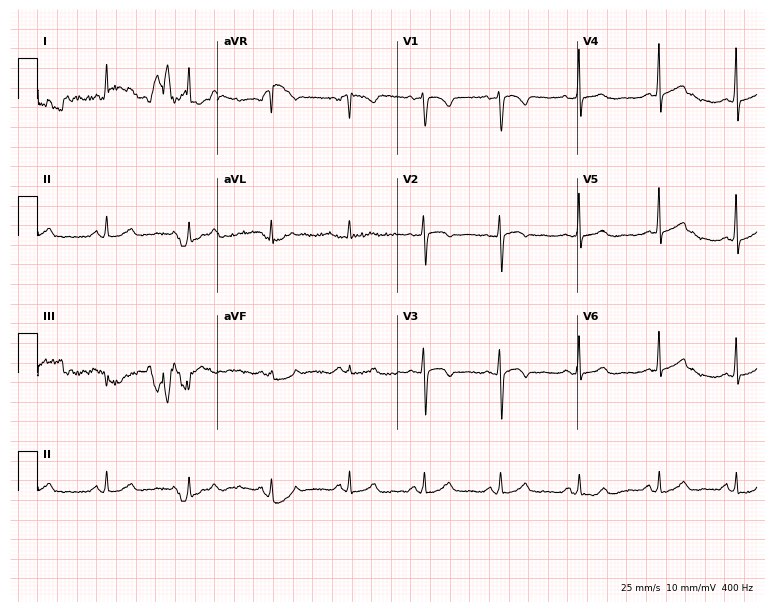
Standard 12-lead ECG recorded from a female, 39 years old (7.3-second recording at 400 Hz). None of these six findings is recorded: first-degree AV block, right bundle branch block (RBBB), left bundle branch block (LBBB), sinus bradycardia, atrial fibrillation (AF), sinus tachycardia. Other findings, if any, are not listed.